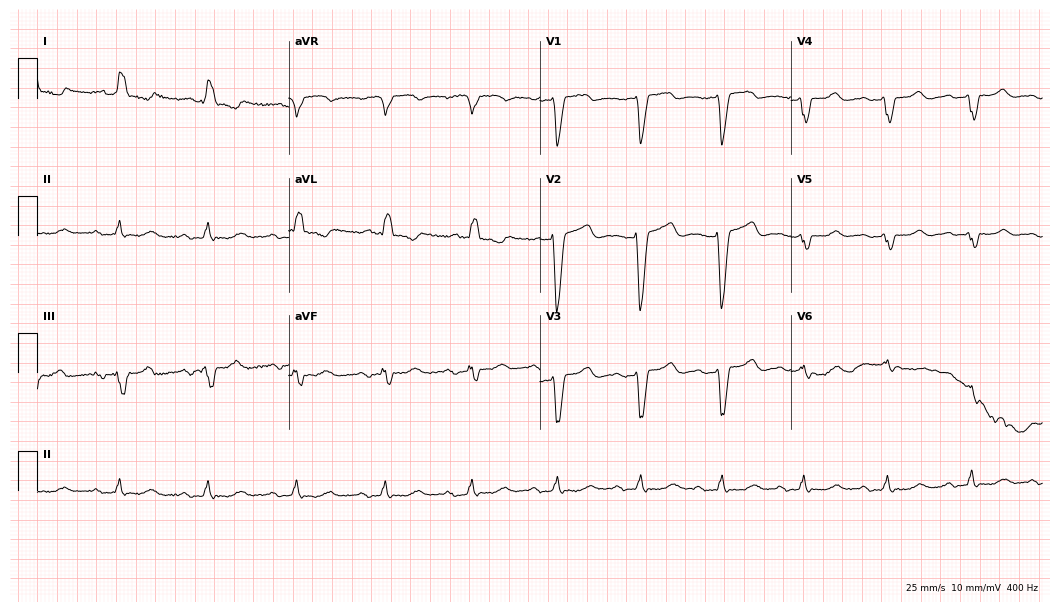
Resting 12-lead electrocardiogram. Patient: a 79-year-old female. The tracing shows left bundle branch block.